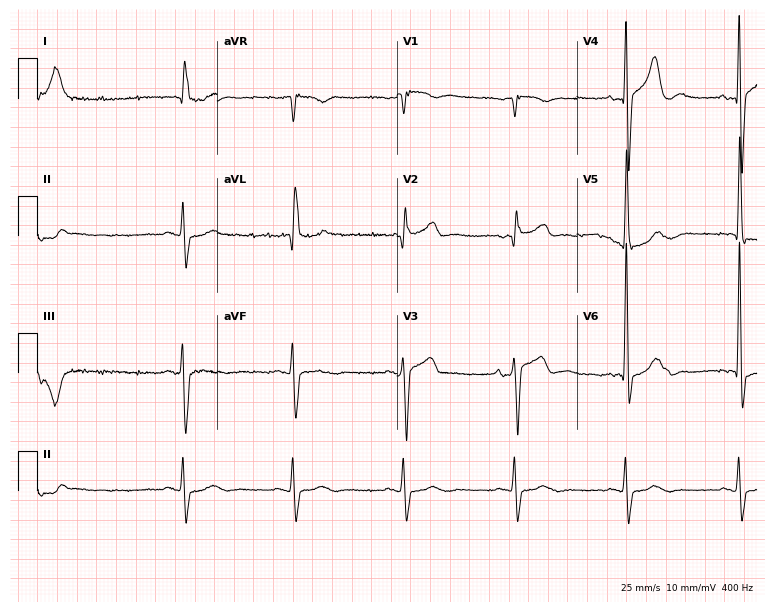
Standard 12-lead ECG recorded from an 84-year-old man. None of these six findings is recorded: first-degree AV block, right bundle branch block, left bundle branch block, sinus bradycardia, atrial fibrillation, sinus tachycardia.